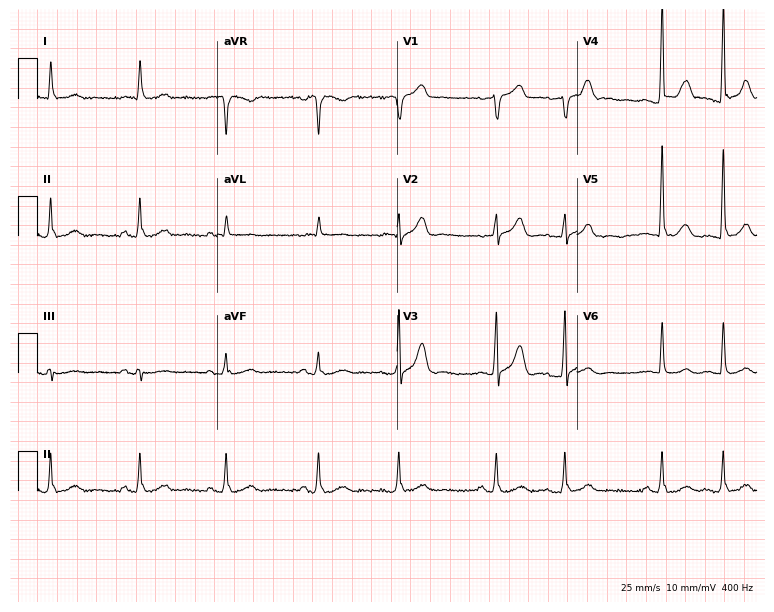
12-lead ECG (7.3-second recording at 400 Hz) from a 72-year-old man. Labelled as a normal ECG.